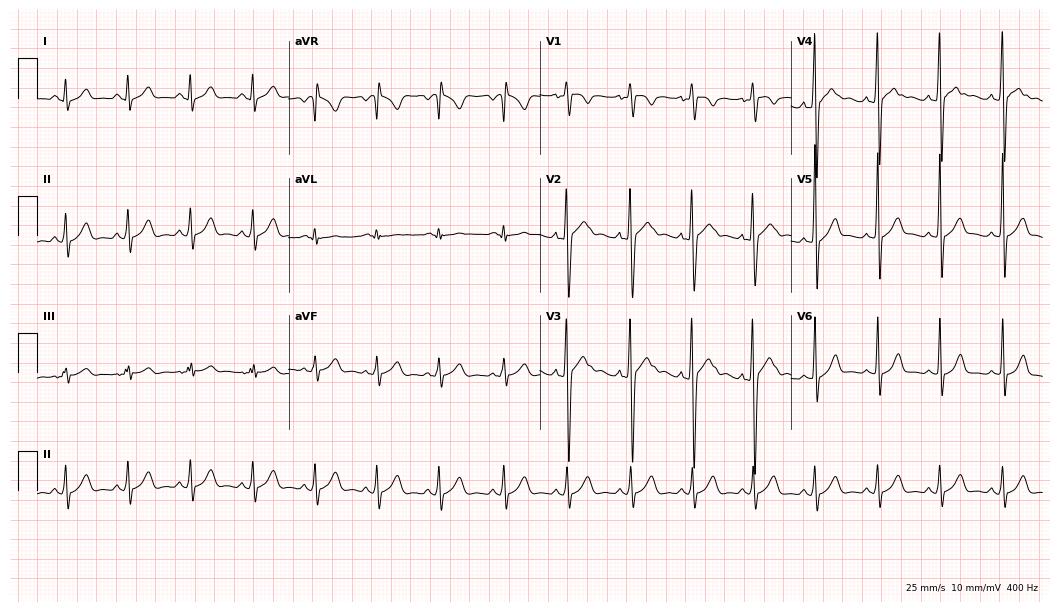
Standard 12-lead ECG recorded from a 17-year-old male. Read as a normal ECG.